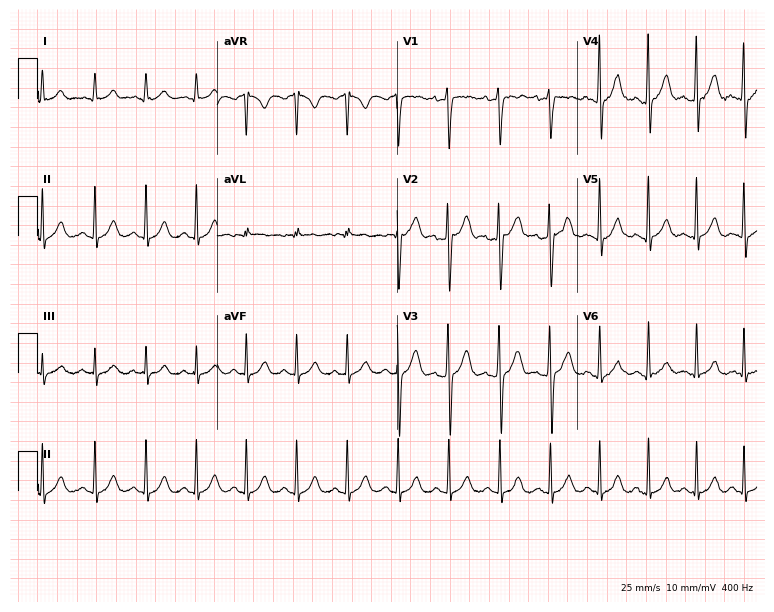
Resting 12-lead electrocardiogram (7.3-second recording at 400 Hz). Patient: a man, 20 years old. The tracing shows sinus tachycardia (a sinus rate of 100 beats per minute or more).